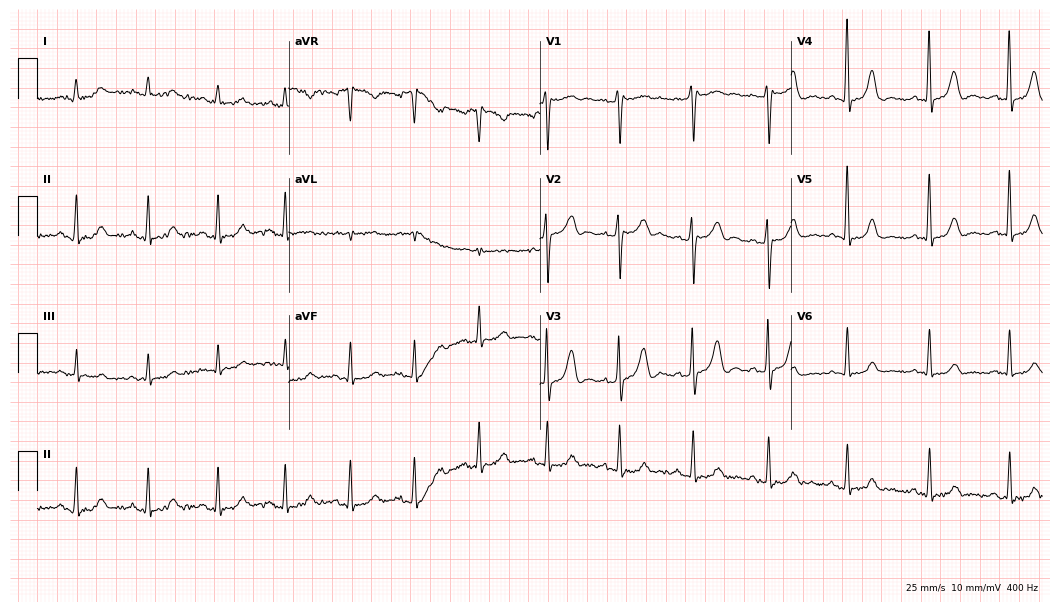
ECG — a female patient, 56 years old. Labelled as a normal ECG.